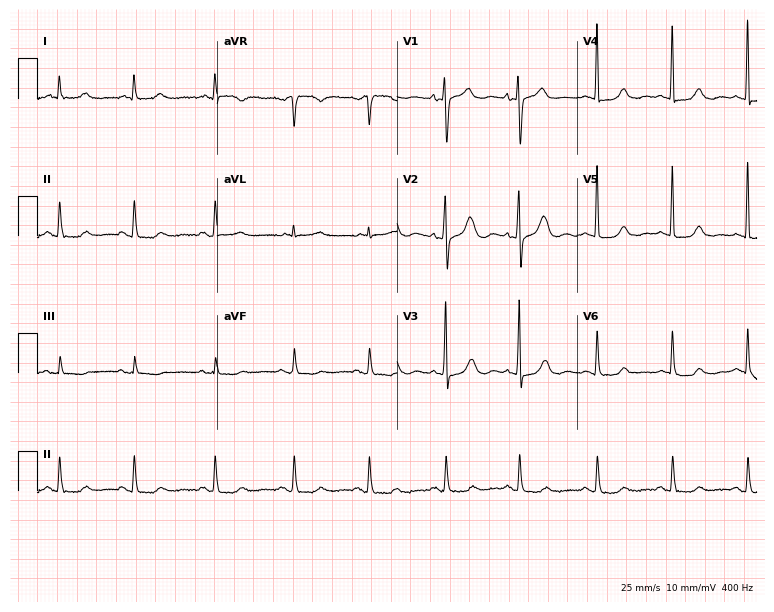
12-lead ECG from an 82-year-old woman. No first-degree AV block, right bundle branch block, left bundle branch block, sinus bradycardia, atrial fibrillation or sinus tachycardia recorded for this tracing.